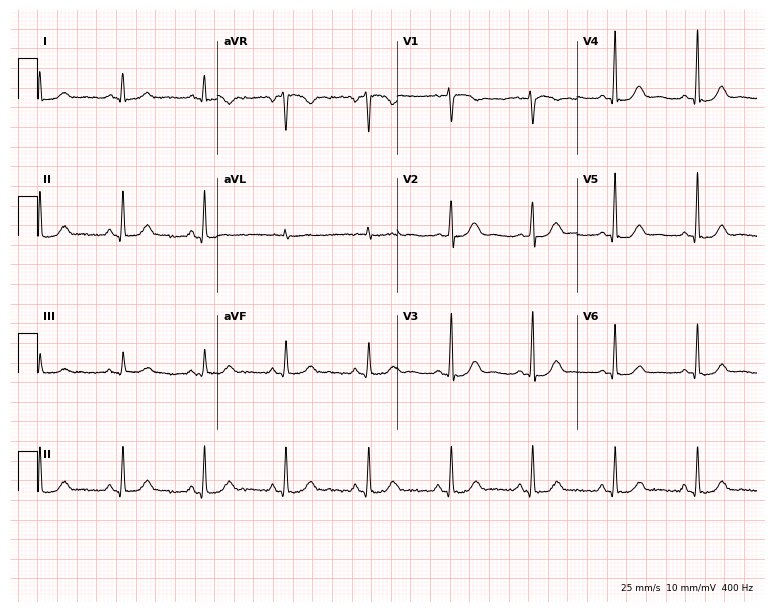
Standard 12-lead ECG recorded from a female, 47 years old (7.3-second recording at 400 Hz). Read as a normal ECG.